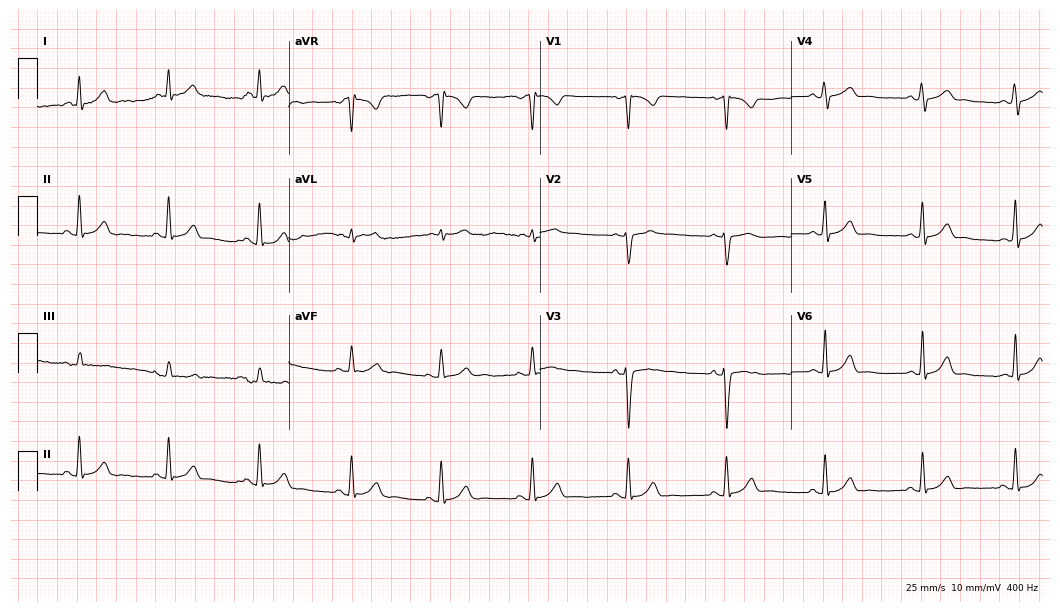
ECG (10.2-second recording at 400 Hz) — a 40-year-old female patient. Labelled as a normal ECG.